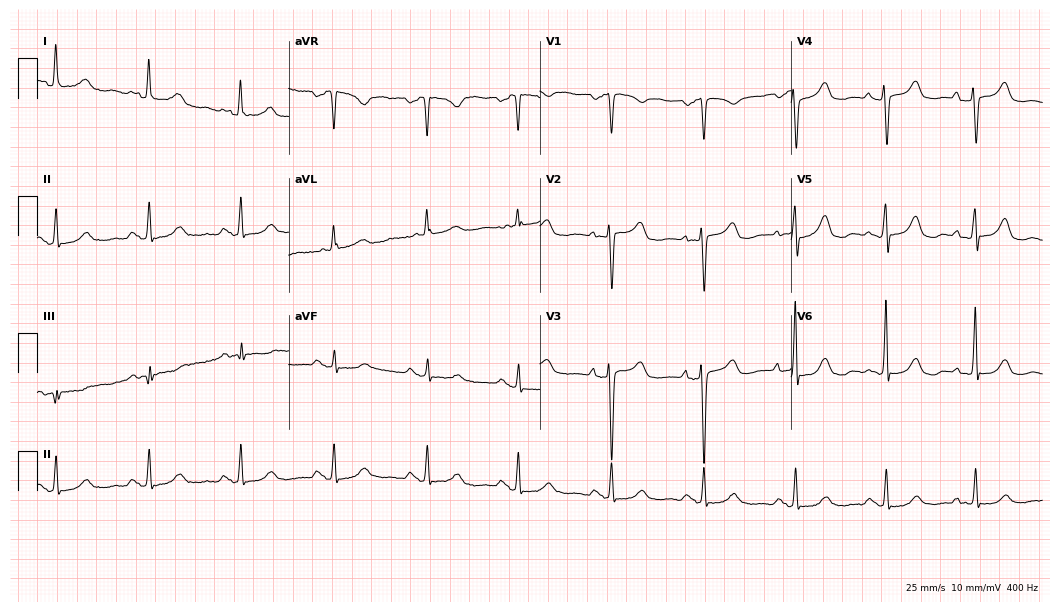
Standard 12-lead ECG recorded from a woman, 84 years old (10.2-second recording at 400 Hz). Read as a normal ECG.